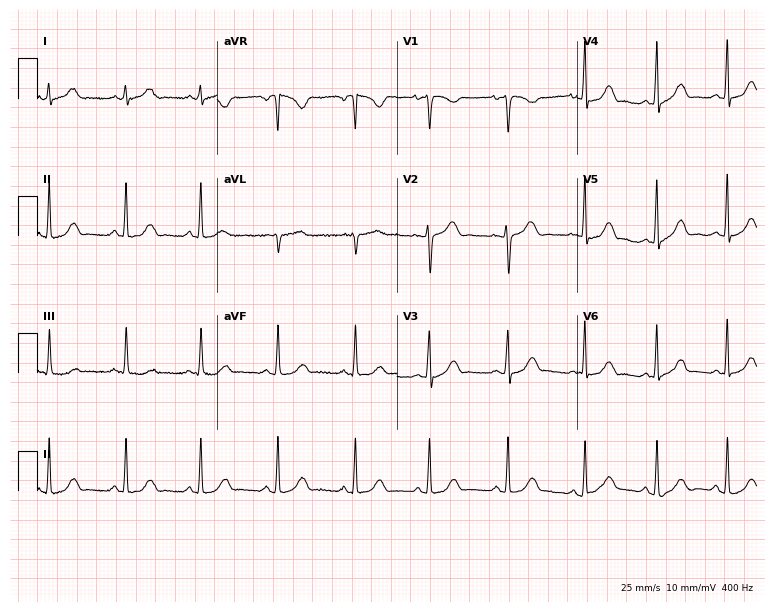
Standard 12-lead ECG recorded from a female, 21 years old (7.3-second recording at 400 Hz). Read as a normal ECG.